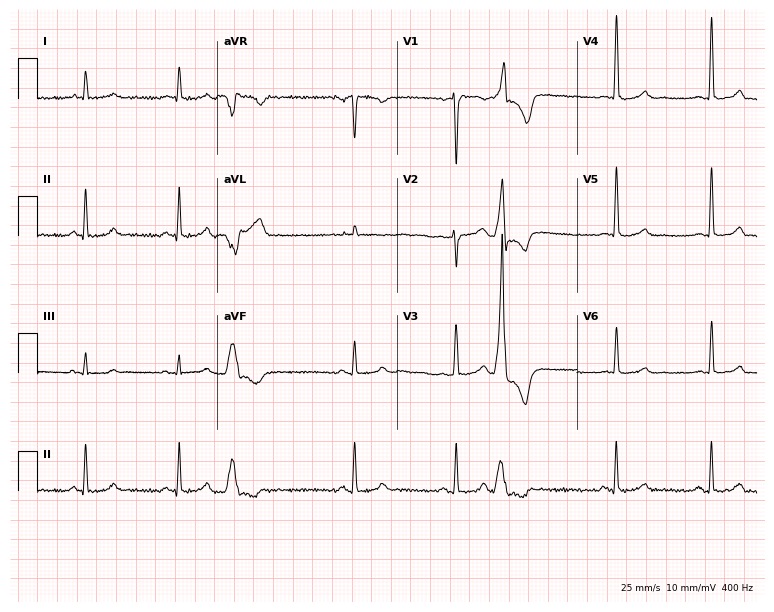
Resting 12-lead electrocardiogram. Patient: a 40-year-old female. None of these six findings is recorded: first-degree AV block, right bundle branch block, left bundle branch block, sinus bradycardia, atrial fibrillation, sinus tachycardia.